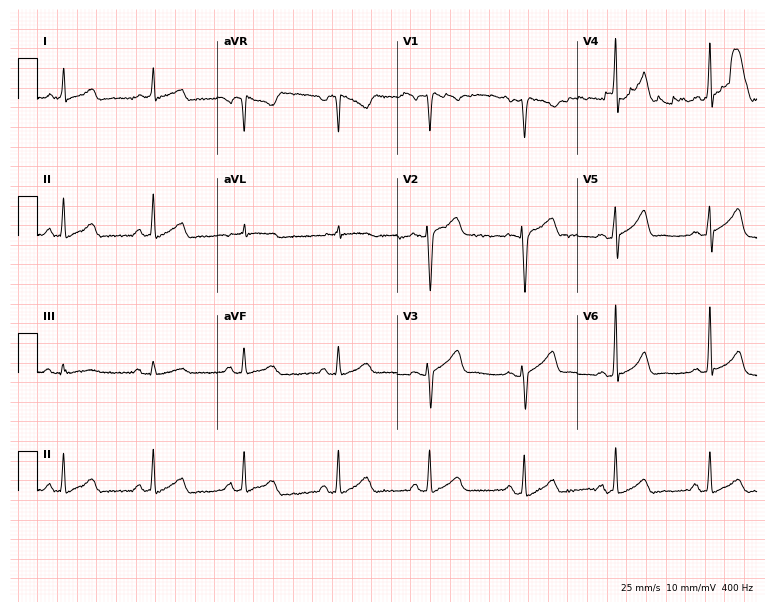
ECG — a female patient, 57 years old. Screened for six findings — first-degree AV block, right bundle branch block, left bundle branch block, sinus bradycardia, atrial fibrillation, sinus tachycardia — none is recorded.